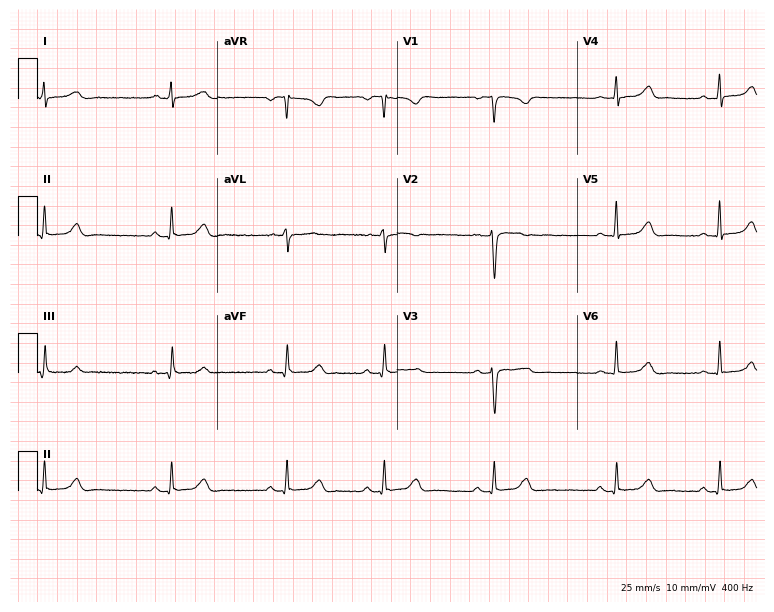
Standard 12-lead ECG recorded from a woman, 40 years old (7.3-second recording at 400 Hz). None of these six findings is recorded: first-degree AV block, right bundle branch block, left bundle branch block, sinus bradycardia, atrial fibrillation, sinus tachycardia.